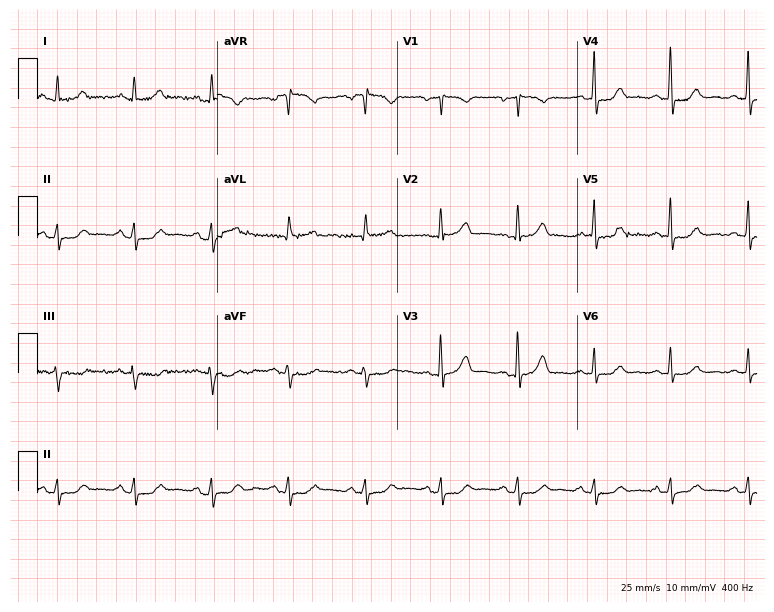
12-lead ECG from a woman, 68 years old (7.3-second recording at 400 Hz). Recorded interpretation: within normal limits.